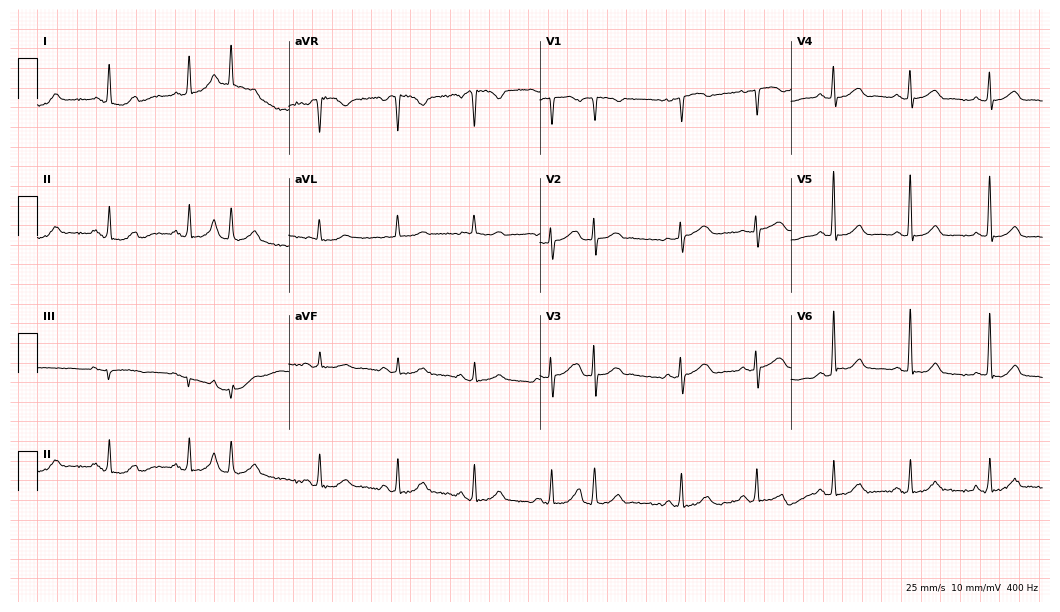
ECG — a 78-year-old female patient. Screened for six findings — first-degree AV block, right bundle branch block (RBBB), left bundle branch block (LBBB), sinus bradycardia, atrial fibrillation (AF), sinus tachycardia — none is recorded. Other findings, if any, are not listed.